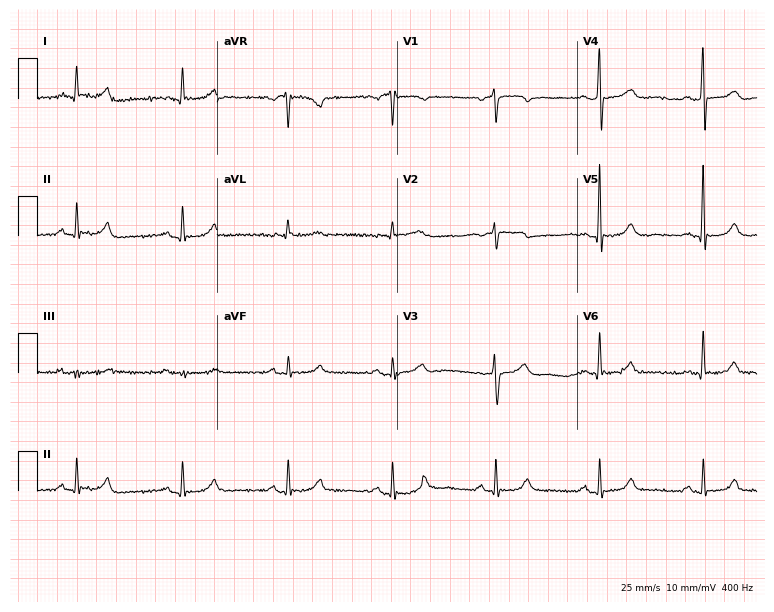
12-lead ECG (7.3-second recording at 400 Hz) from a 70-year-old man. Labelled as a normal ECG.